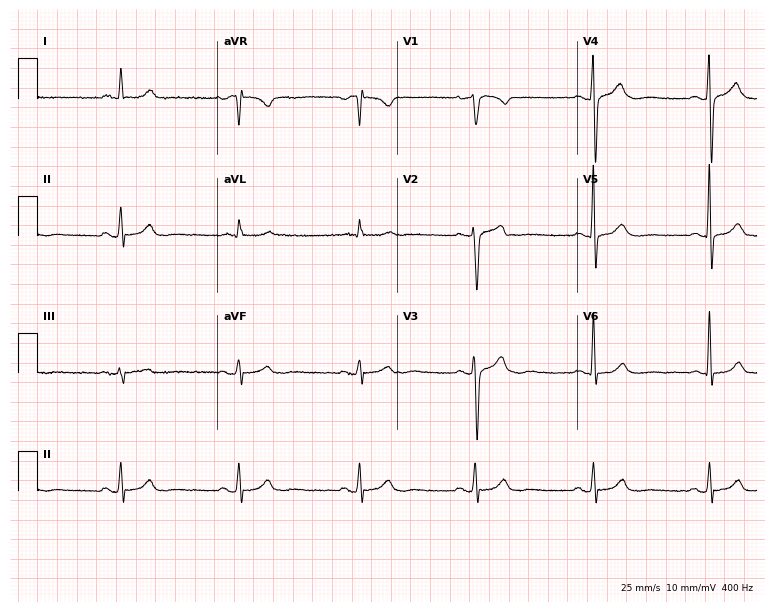
ECG (7.3-second recording at 400 Hz) — a 69-year-old female patient. Screened for six findings — first-degree AV block, right bundle branch block, left bundle branch block, sinus bradycardia, atrial fibrillation, sinus tachycardia — none is recorded. Only these six findings were labelled.